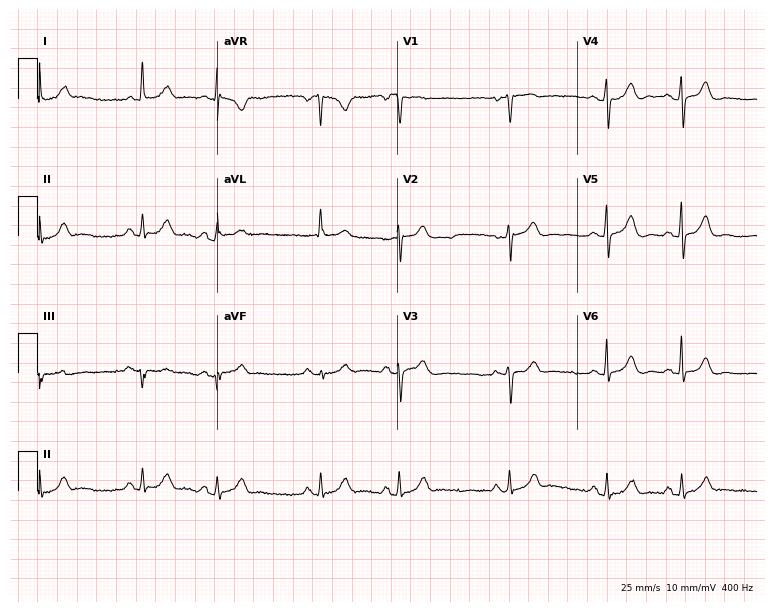
Electrocardiogram, a female patient, 75 years old. Of the six screened findings (first-degree AV block, right bundle branch block, left bundle branch block, sinus bradycardia, atrial fibrillation, sinus tachycardia), none is recorded.